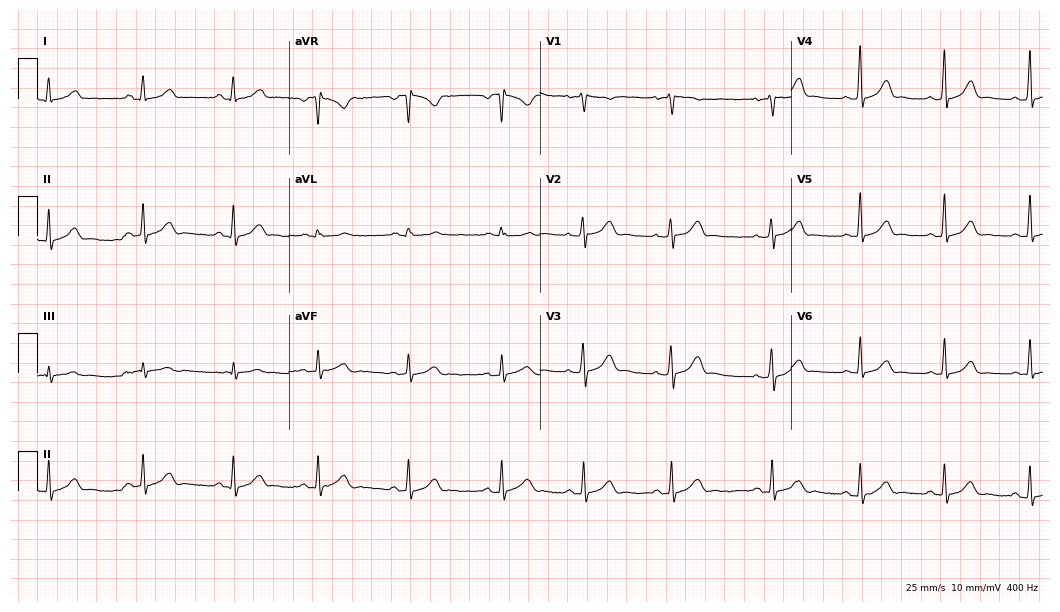
12-lead ECG (10.2-second recording at 400 Hz) from a 24-year-old female. Labelled as a normal ECG.